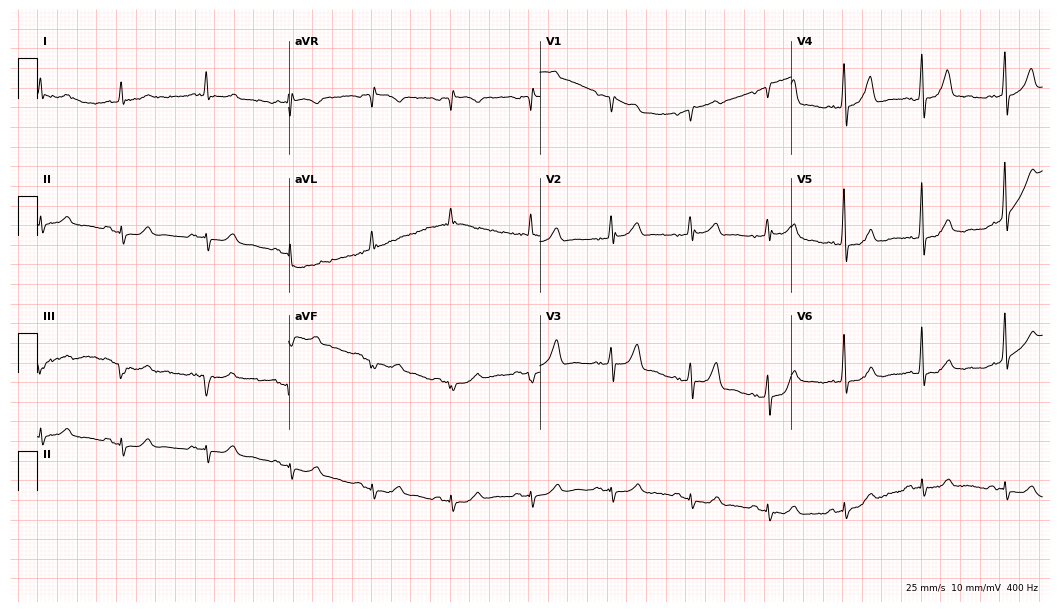
12-lead ECG from a 68-year-old man. No first-degree AV block, right bundle branch block (RBBB), left bundle branch block (LBBB), sinus bradycardia, atrial fibrillation (AF) or sinus tachycardia recorded for this tracing.